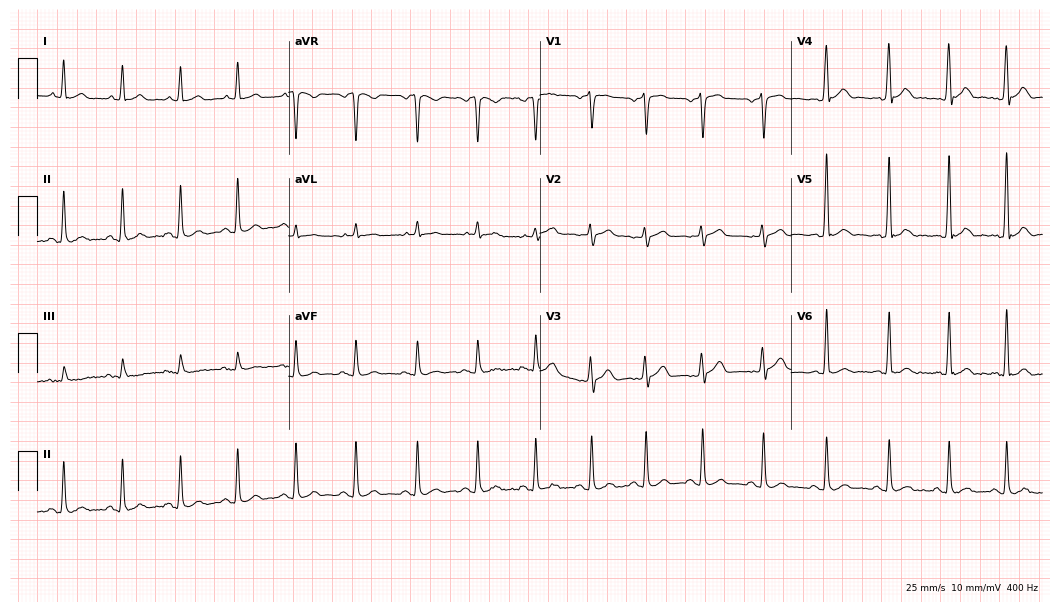
Electrocardiogram, a 38-year-old man. Of the six screened findings (first-degree AV block, right bundle branch block, left bundle branch block, sinus bradycardia, atrial fibrillation, sinus tachycardia), none is recorded.